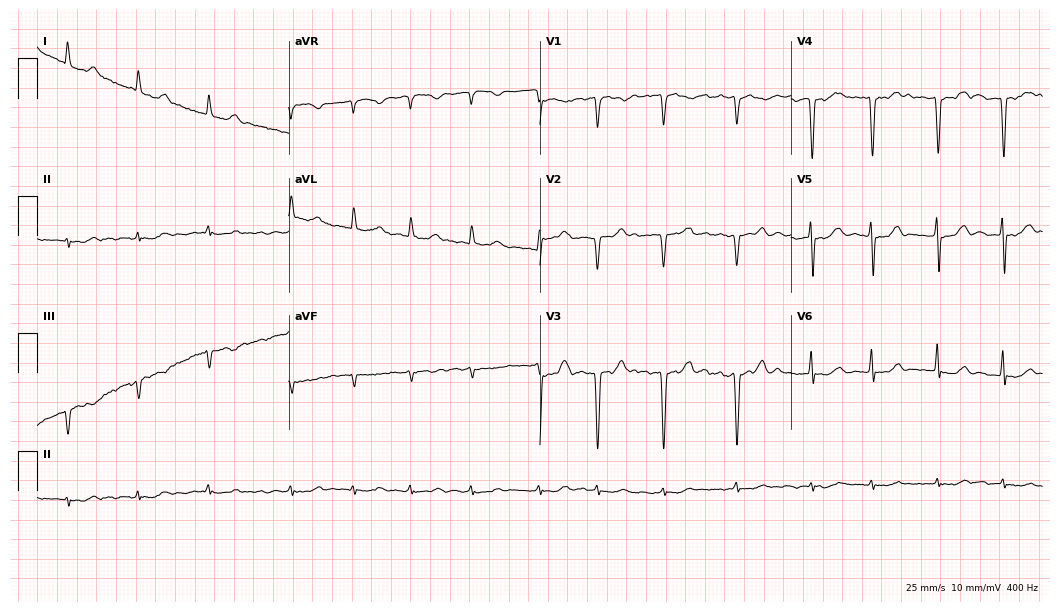
Resting 12-lead electrocardiogram (10.2-second recording at 400 Hz). Patient: a 78-year-old man. The tracing shows atrial fibrillation.